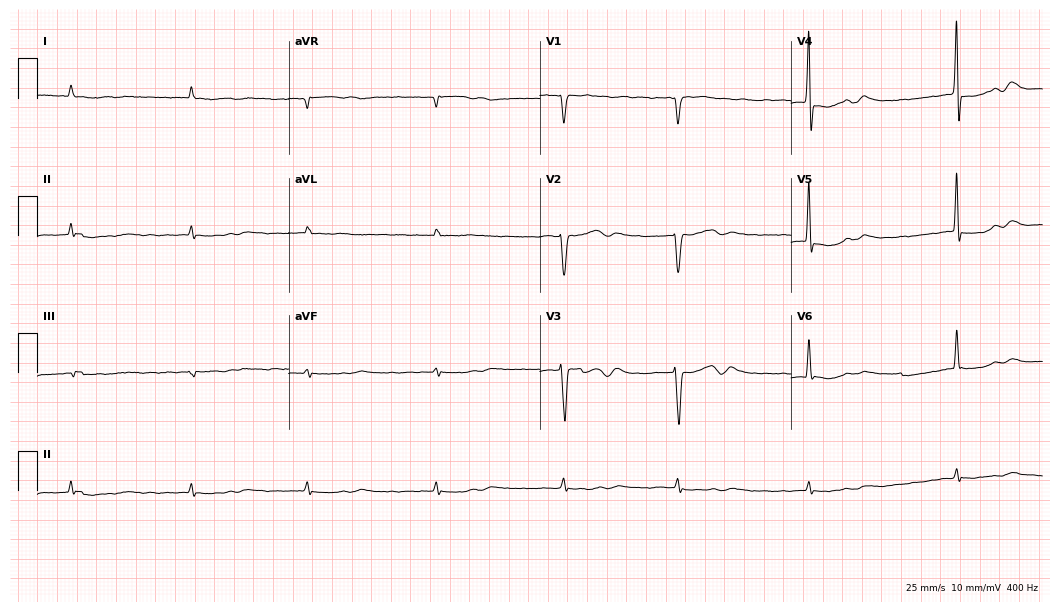
ECG — an 85-year-old male. Findings include atrial fibrillation.